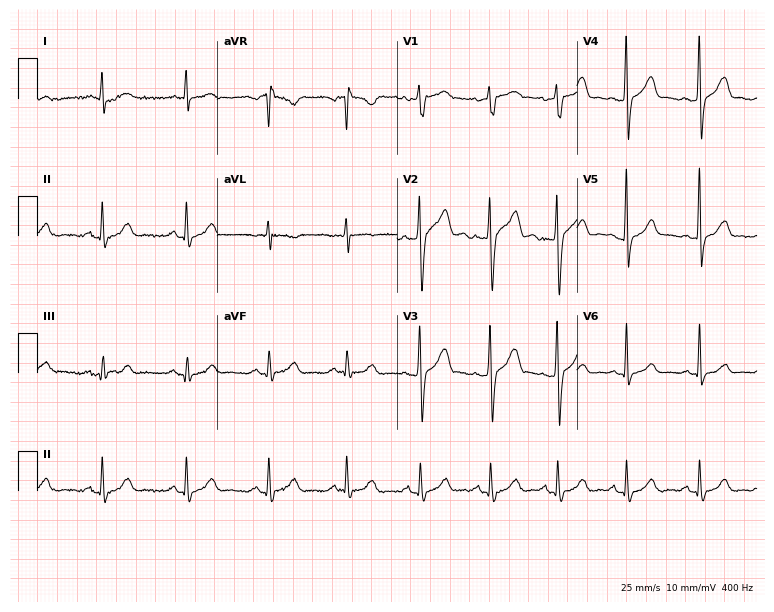
12-lead ECG from a man, 26 years old (7.3-second recording at 400 Hz). No first-degree AV block, right bundle branch block, left bundle branch block, sinus bradycardia, atrial fibrillation or sinus tachycardia recorded for this tracing.